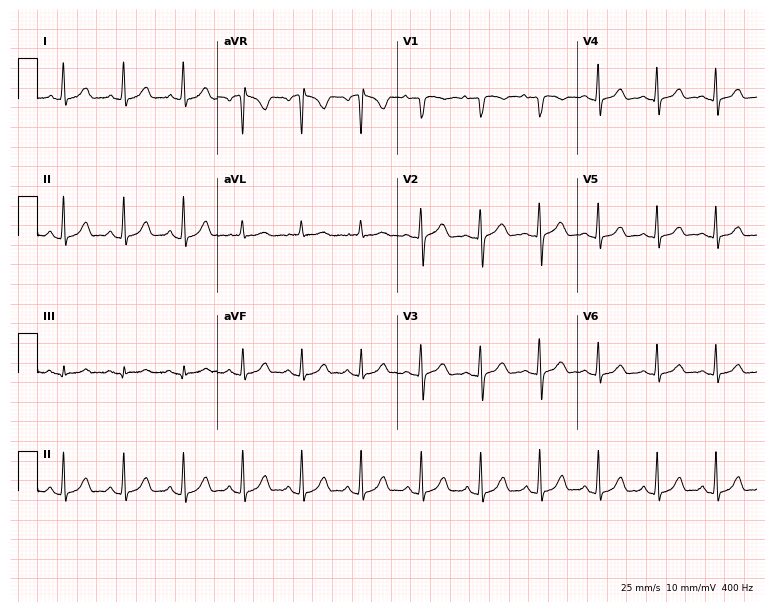
Electrocardiogram (7.3-second recording at 400 Hz), a 51-year-old female. Overall reading on record: normal ECG.